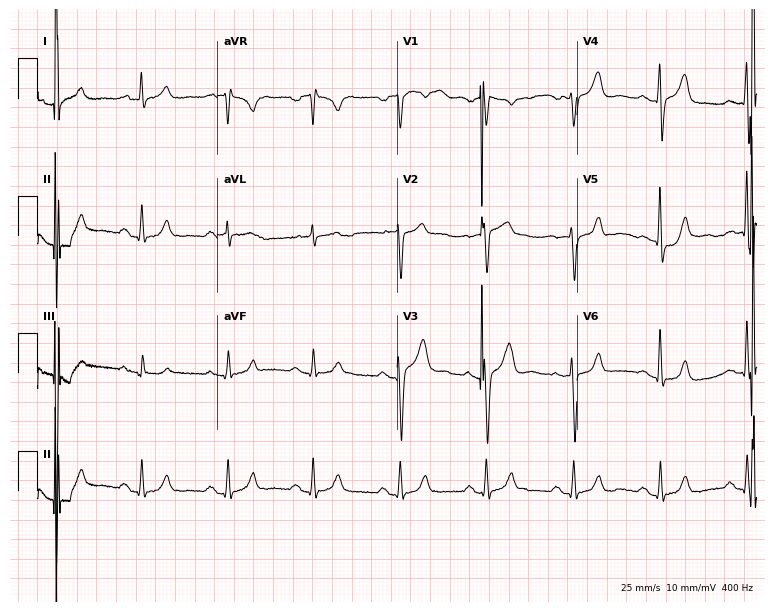
12-lead ECG (7.3-second recording at 400 Hz) from a 36-year-old man. Labelled as a normal ECG.